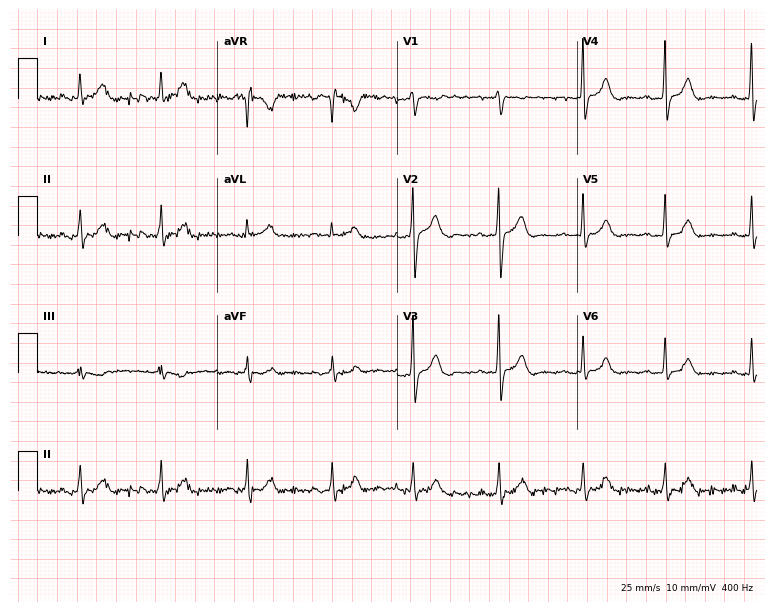
12-lead ECG from a male, 37 years old. Labelled as a normal ECG.